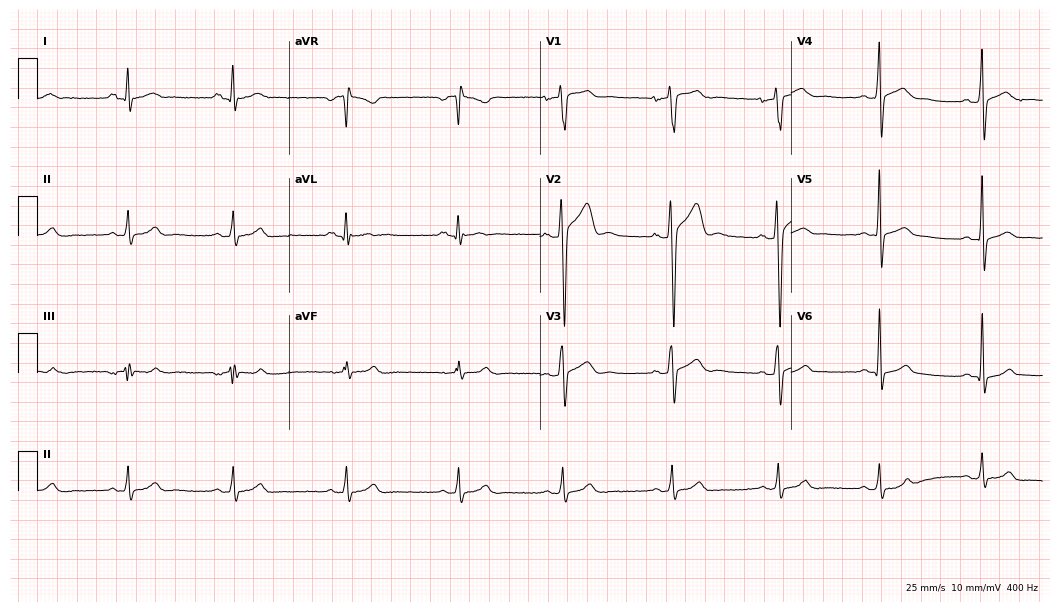
Electrocardiogram (10.2-second recording at 400 Hz), a 20-year-old male patient. Of the six screened findings (first-degree AV block, right bundle branch block, left bundle branch block, sinus bradycardia, atrial fibrillation, sinus tachycardia), none is recorded.